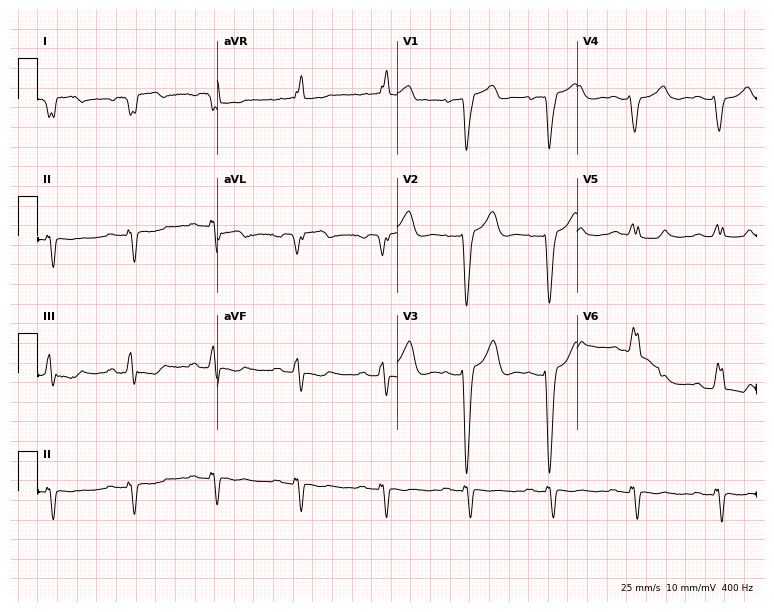
ECG (7.3-second recording at 400 Hz) — a woman, 74 years old. Screened for six findings — first-degree AV block, right bundle branch block, left bundle branch block, sinus bradycardia, atrial fibrillation, sinus tachycardia — none is recorded.